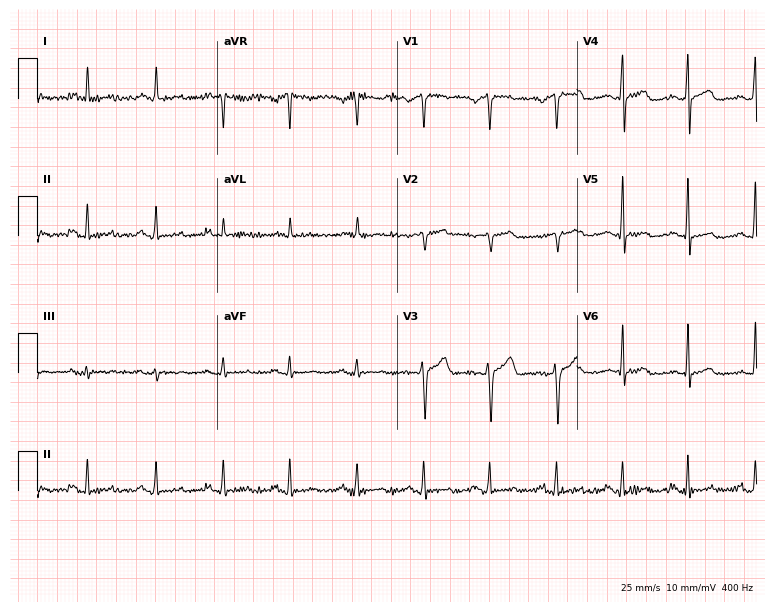
12-lead ECG from a man, 46 years old. Recorded interpretation: within normal limits.